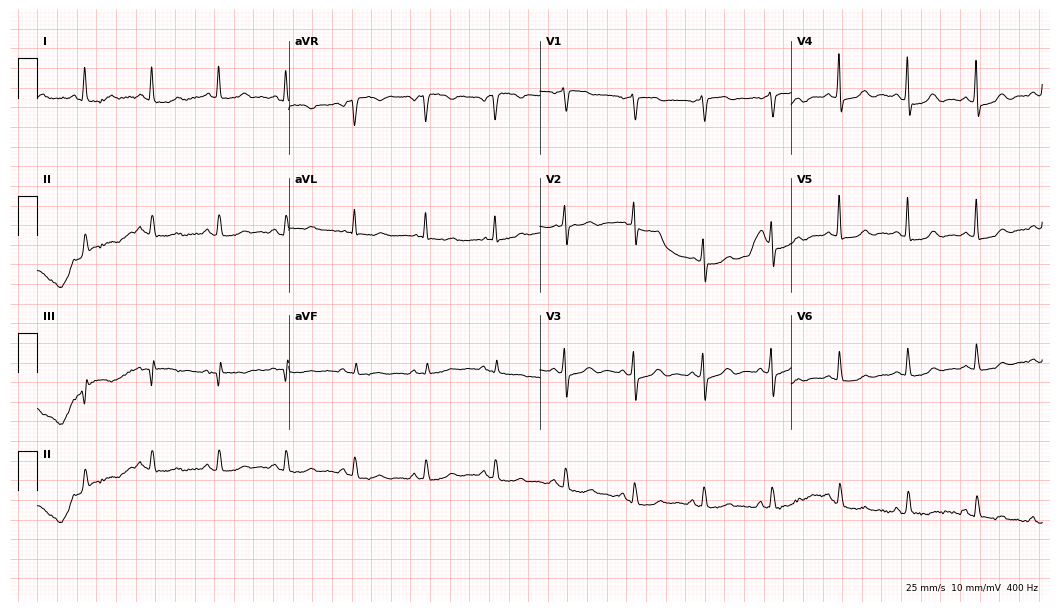
Electrocardiogram, a female patient, 79 years old. Of the six screened findings (first-degree AV block, right bundle branch block, left bundle branch block, sinus bradycardia, atrial fibrillation, sinus tachycardia), none is recorded. Findings outside these six are not listed.